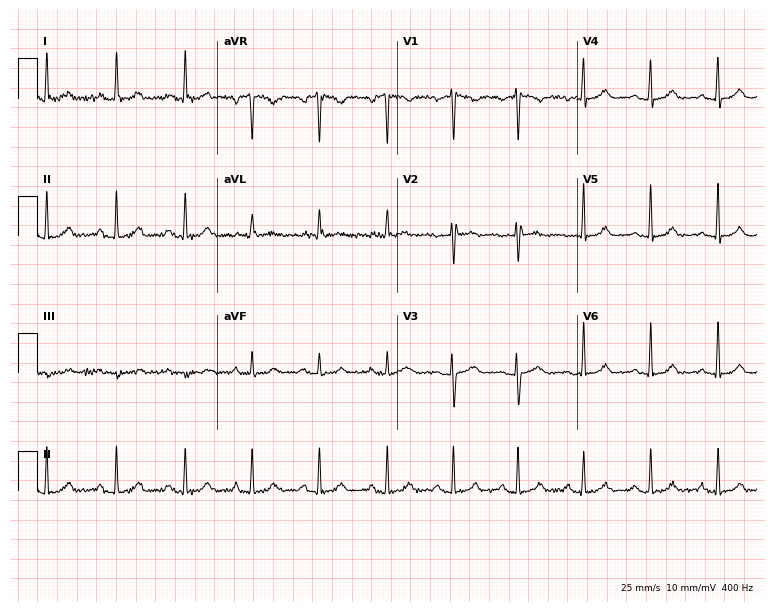
Electrocardiogram (7.3-second recording at 400 Hz), a female patient, 35 years old. Of the six screened findings (first-degree AV block, right bundle branch block (RBBB), left bundle branch block (LBBB), sinus bradycardia, atrial fibrillation (AF), sinus tachycardia), none is recorded.